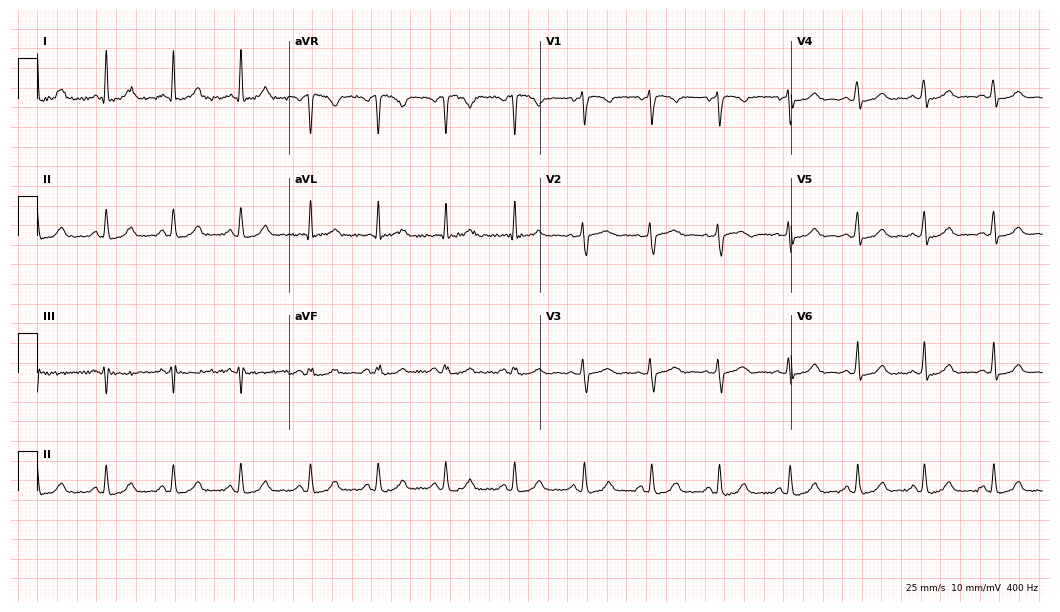
Standard 12-lead ECG recorded from a female patient, 39 years old (10.2-second recording at 400 Hz). None of these six findings is recorded: first-degree AV block, right bundle branch block (RBBB), left bundle branch block (LBBB), sinus bradycardia, atrial fibrillation (AF), sinus tachycardia. Findings outside these six are not listed.